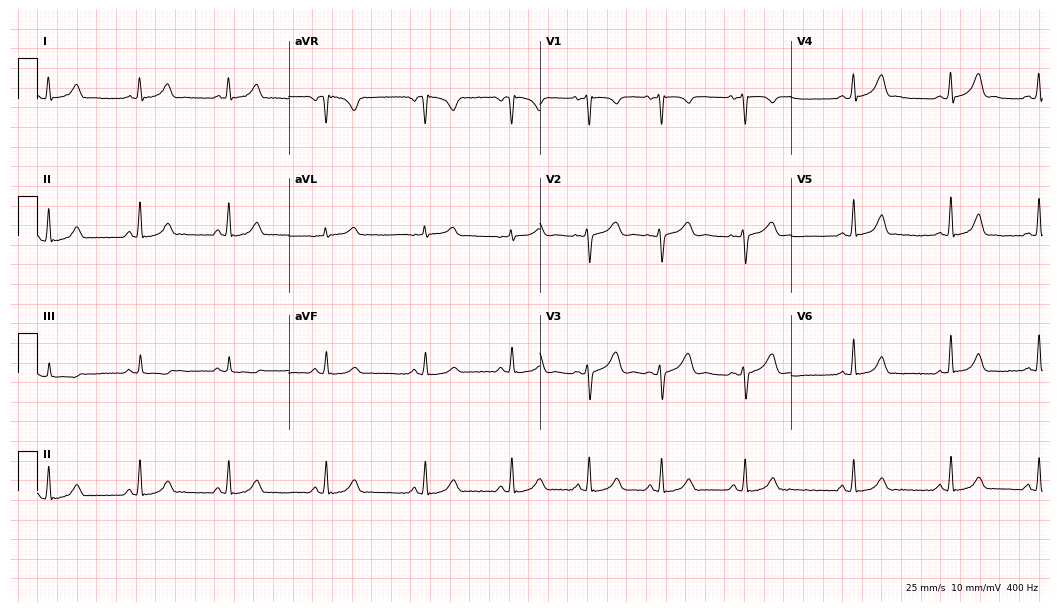
ECG (10.2-second recording at 400 Hz) — a female, 23 years old. Labelled as a normal ECG.